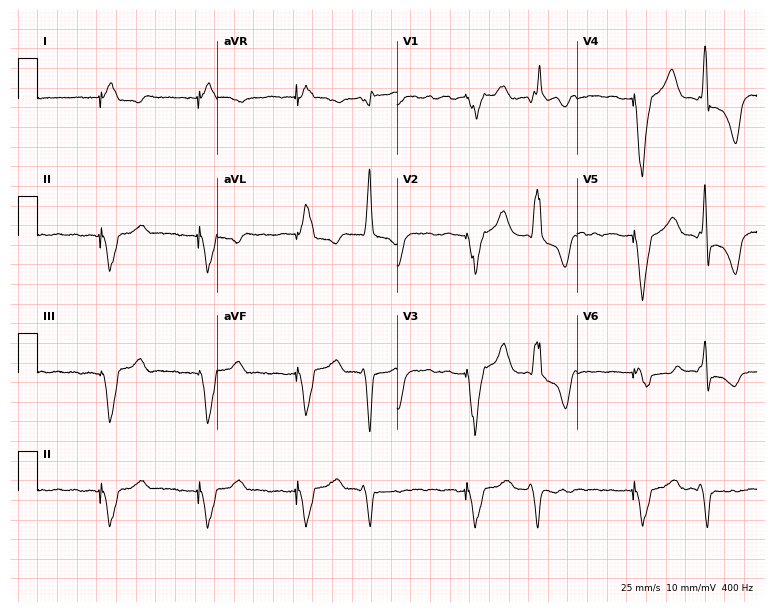
12-lead ECG from a man, 77 years old (7.3-second recording at 400 Hz). No first-degree AV block, right bundle branch block (RBBB), left bundle branch block (LBBB), sinus bradycardia, atrial fibrillation (AF) or sinus tachycardia recorded for this tracing. Other findings, if any, are not listed.